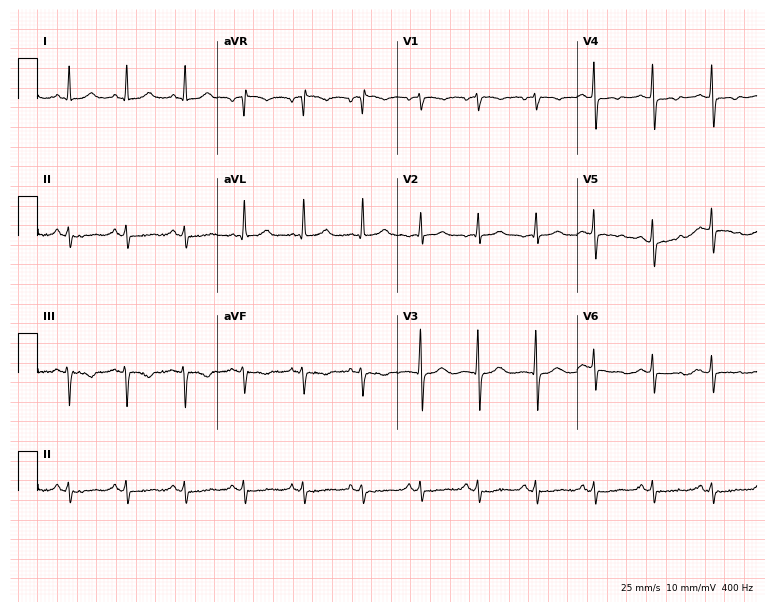
Electrocardiogram, a 42-year-old woman. Of the six screened findings (first-degree AV block, right bundle branch block, left bundle branch block, sinus bradycardia, atrial fibrillation, sinus tachycardia), none is recorded.